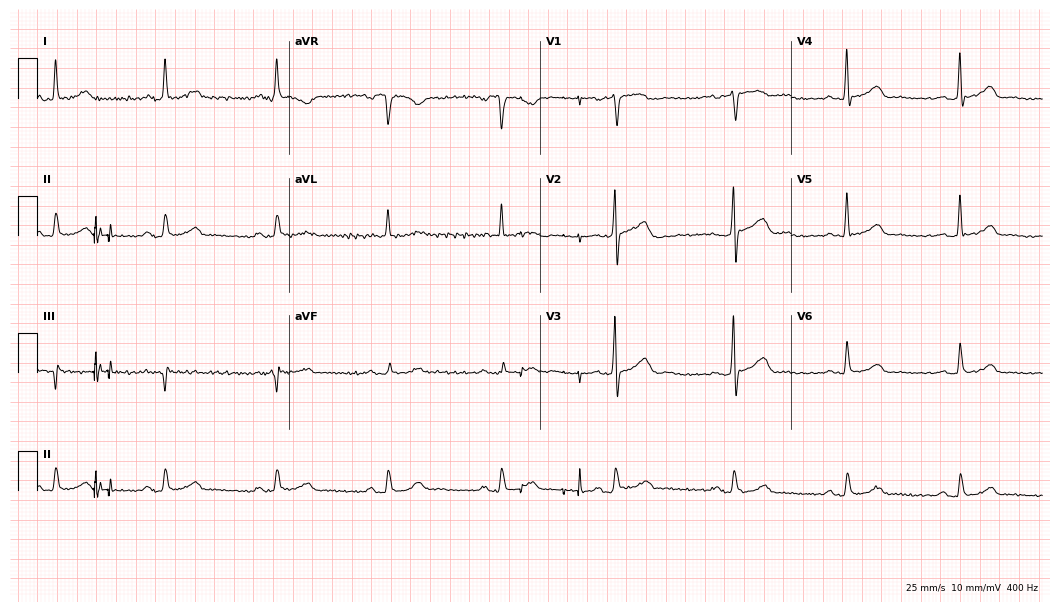
12-lead ECG from a 73-year-old male (10.2-second recording at 400 Hz). Recorded interpretation: within normal limits.